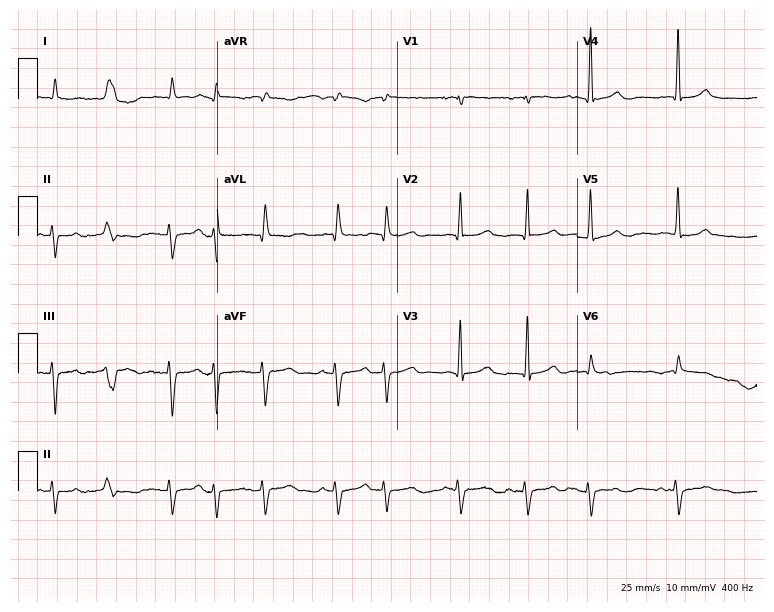
Resting 12-lead electrocardiogram. Patient: an 82-year-old male. The tracing shows atrial fibrillation.